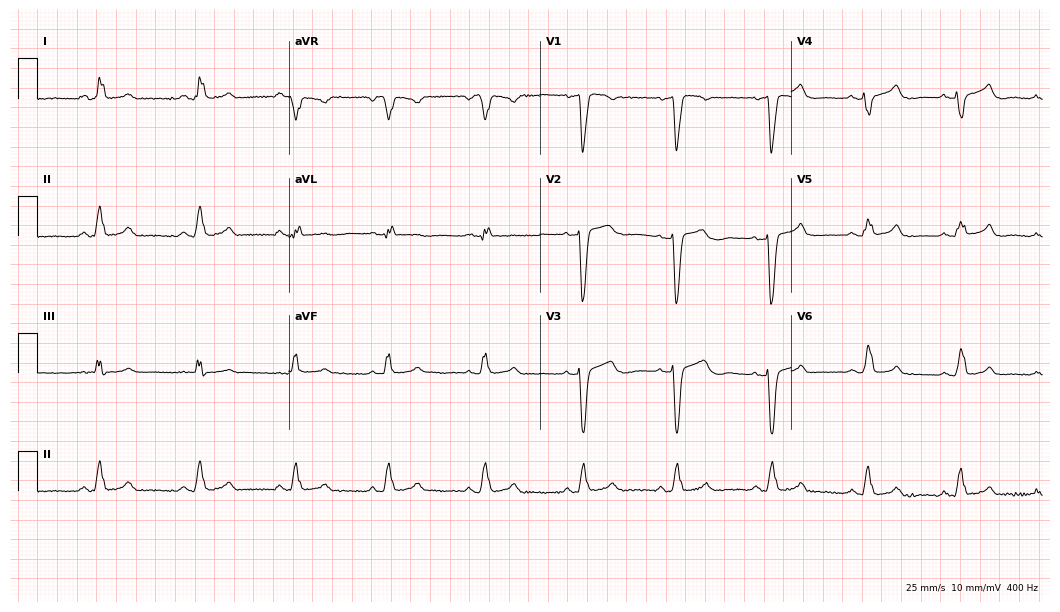
12-lead ECG from a female patient, 60 years old. Shows left bundle branch block (LBBB).